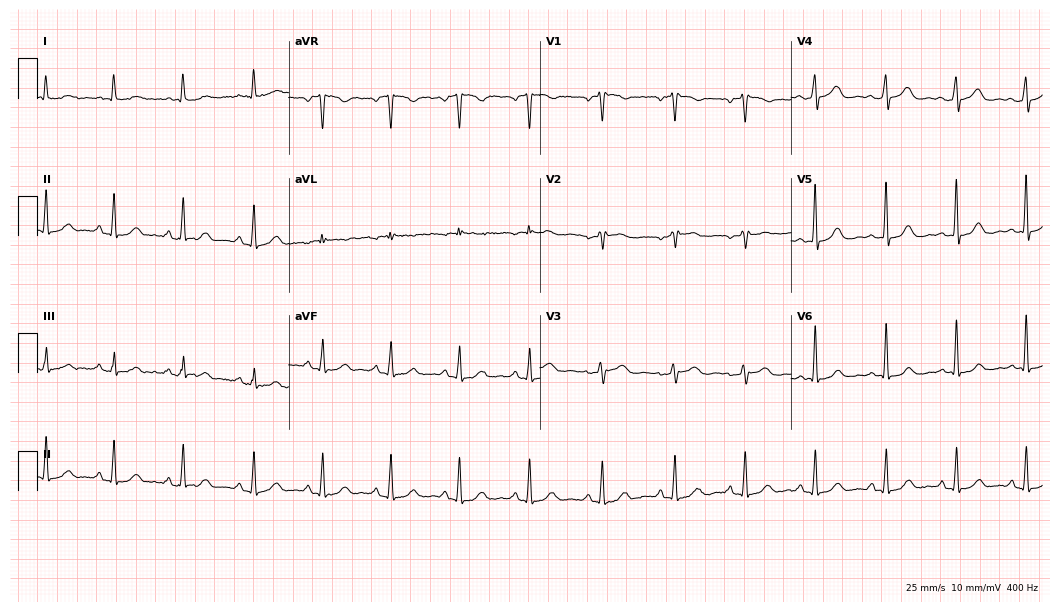
Standard 12-lead ECG recorded from a 66-year-old woman (10.2-second recording at 400 Hz). None of these six findings is recorded: first-degree AV block, right bundle branch block, left bundle branch block, sinus bradycardia, atrial fibrillation, sinus tachycardia.